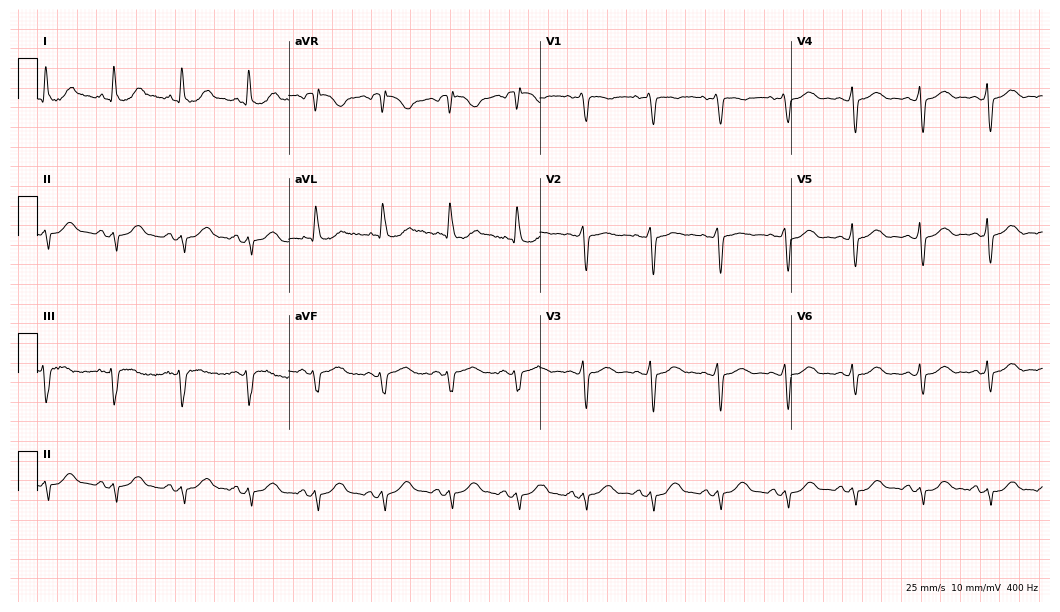
Standard 12-lead ECG recorded from a female patient, 77 years old (10.2-second recording at 400 Hz). None of these six findings is recorded: first-degree AV block, right bundle branch block, left bundle branch block, sinus bradycardia, atrial fibrillation, sinus tachycardia. Other findings, if any, are not listed.